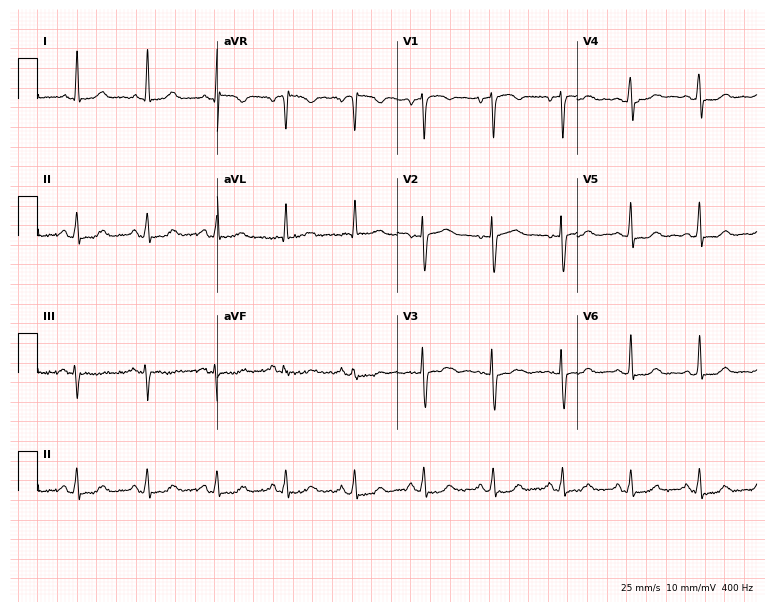
ECG — a 51-year-old female. Screened for six findings — first-degree AV block, right bundle branch block, left bundle branch block, sinus bradycardia, atrial fibrillation, sinus tachycardia — none is recorded.